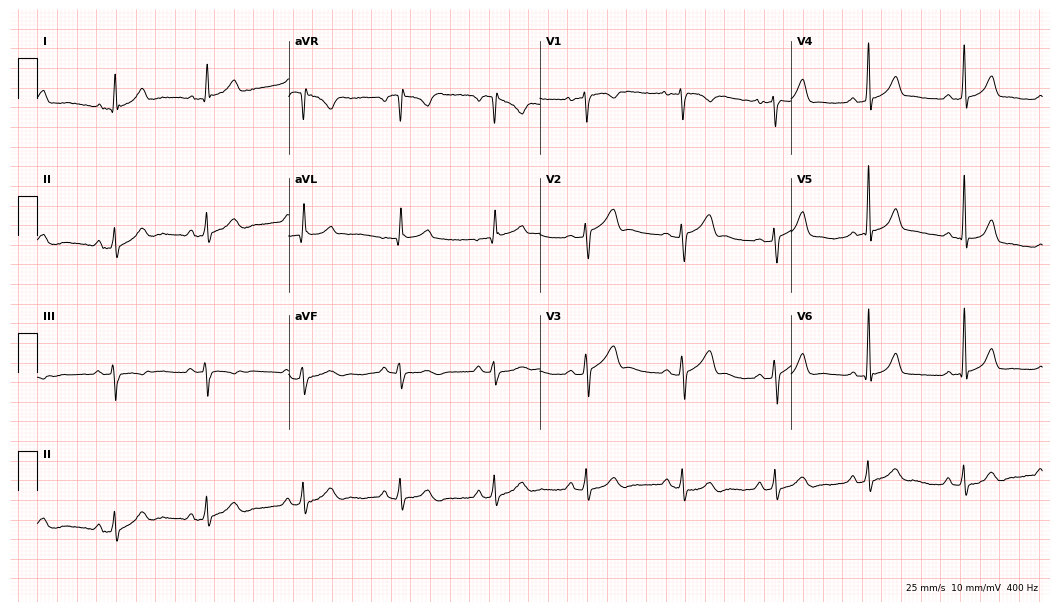
Electrocardiogram, a 35-year-old female. Overall reading on record: normal ECG.